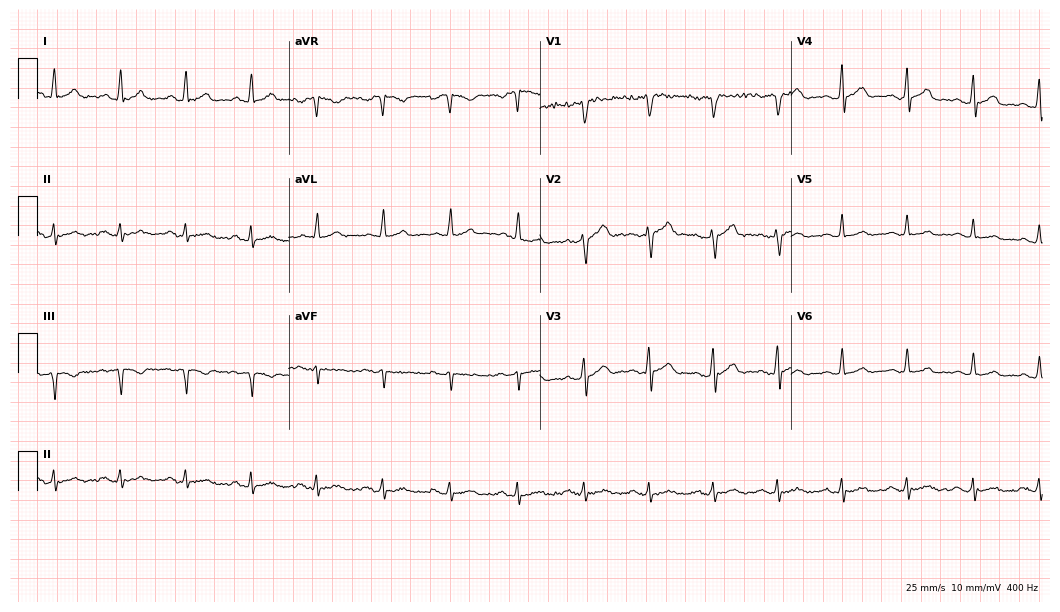
ECG — a 51-year-old man. Labelled as a normal ECG.